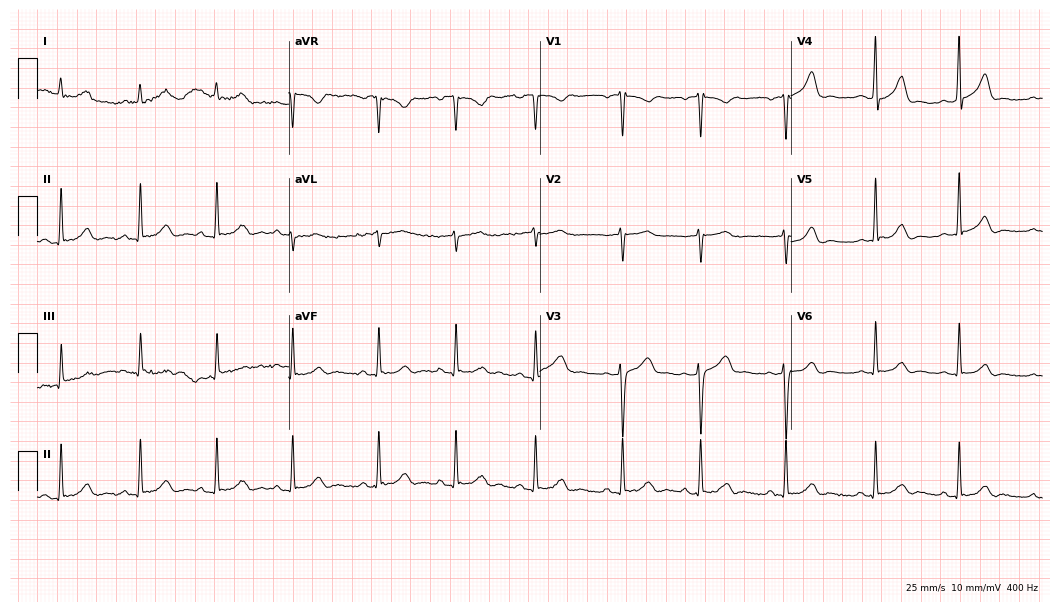
12-lead ECG from a 22-year-old male. Labelled as a normal ECG.